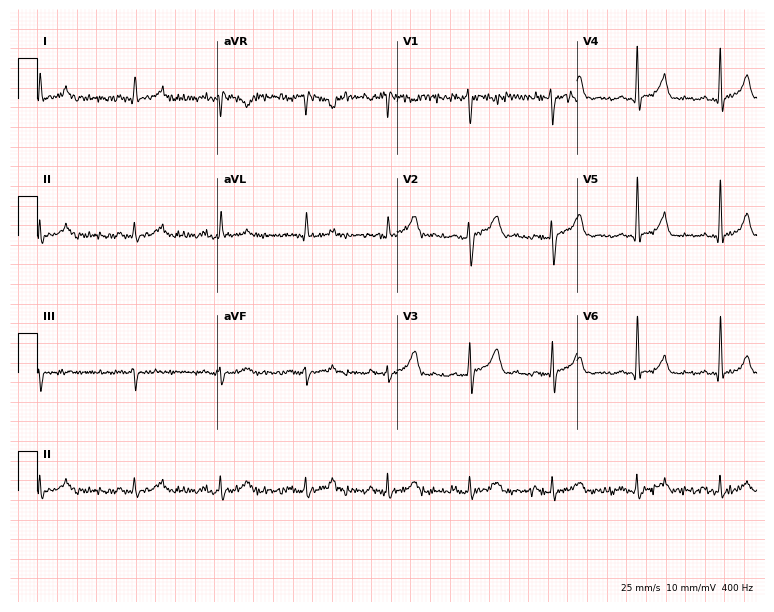
Resting 12-lead electrocardiogram. Patient: a 68-year-old male. None of these six findings is recorded: first-degree AV block, right bundle branch block, left bundle branch block, sinus bradycardia, atrial fibrillation, sinus tachycardia. Other findings, if any, are not listed.